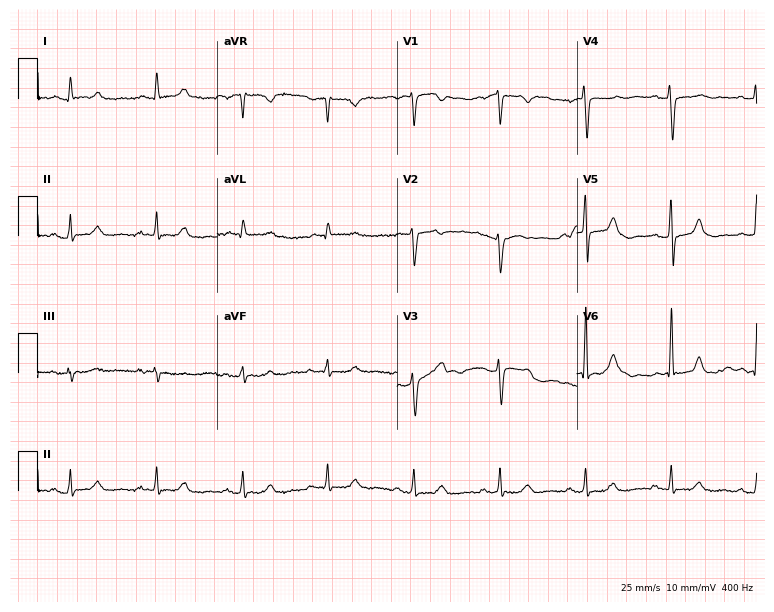
Resting 12-lead electrocardiogram (7.3-second recording at 400 Hz). Patient: a female, 69 years old. None of these six findings is recorded: first-degree AV block, right bundle branch block, left bundle branch block, sinus bradycardia, atrial fibrillation, sinus tachycardia.